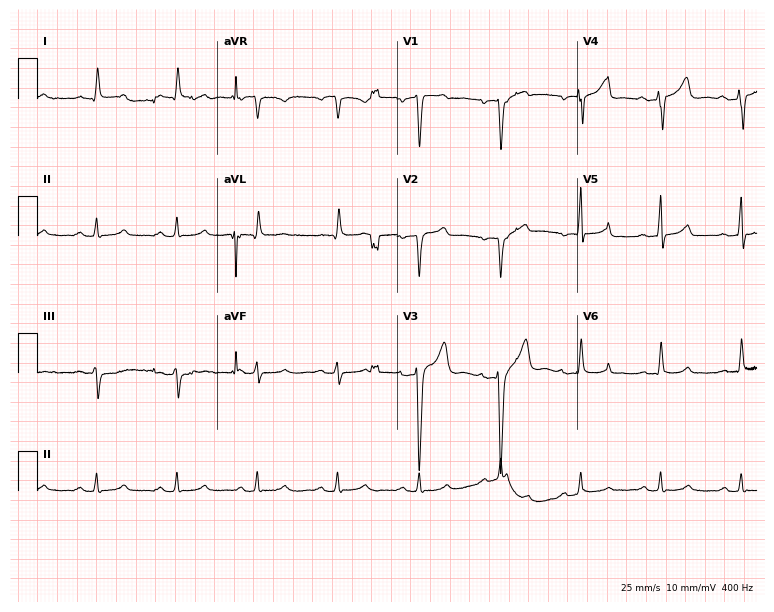
12-lead ECG from a 69-year-old male (7.3-second recording at 400 Hz). No first-degree AV block, right bundle branch block, left bundle branch block, sinus bradycardia, atrial fibrillation or sinus tachycardia recorded for this tracing. Findings outside these six are not listed.